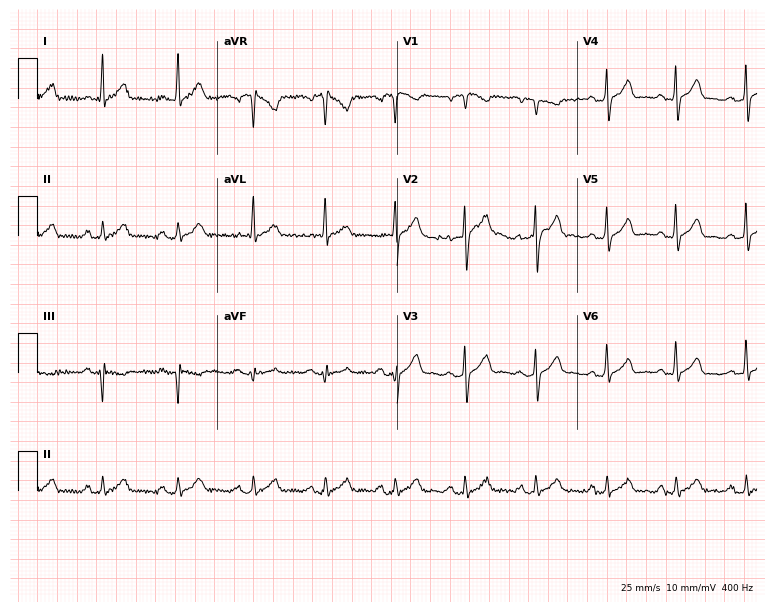
ECG — a male, 36 years old. Labelled as a normal ECG.